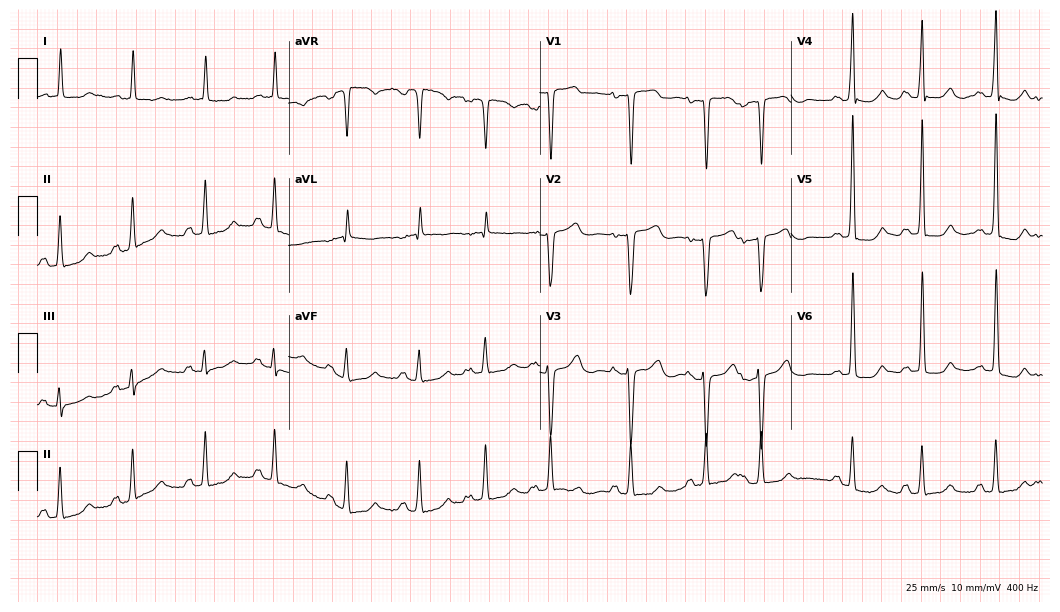
Electrocardiogram, a 79-year-old woman. Of the six screened findings (first-degree AV block, right bundle branch block (RBBB), left bundle branch block (LBBB), sinus bradycardia, atrial fibrillation (AF), sinus tachycardia), none is recorded.